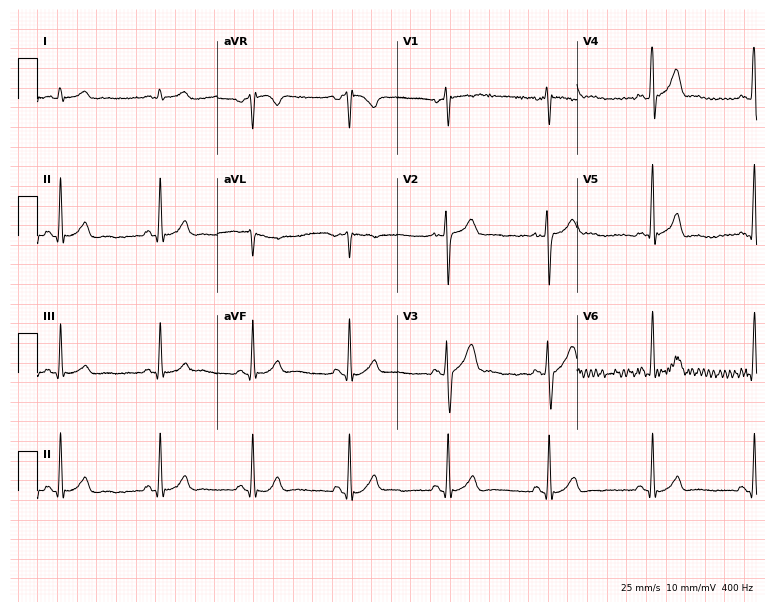
Electrocardiogram, a 37-year-old male. Overall reading on record: normal ECG.